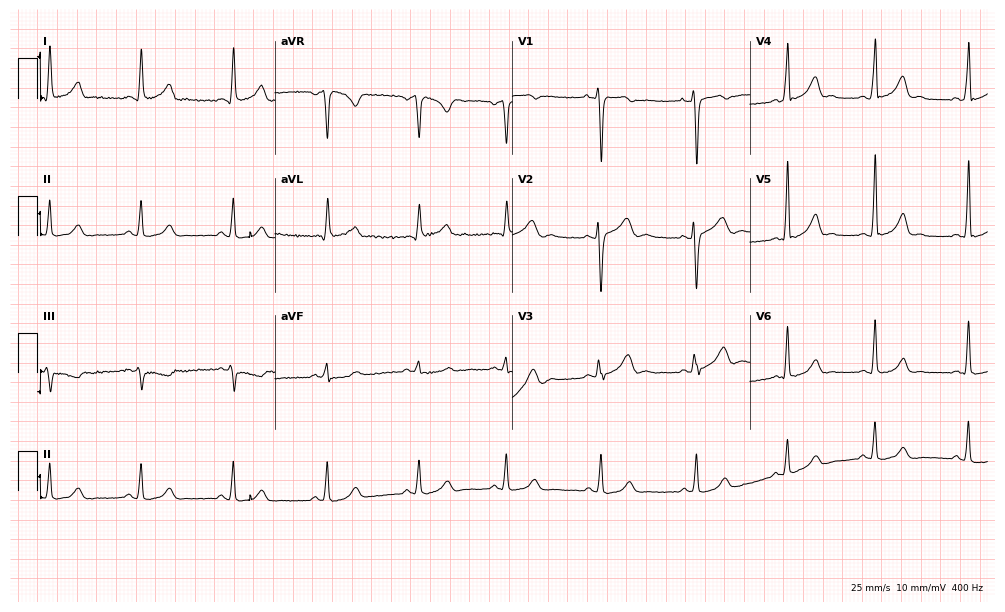
Resting 12-lead electrocardiogram (9.7-second recording at 400 Hz). Patient: a female, 23 years old. Read as a normal ECG.